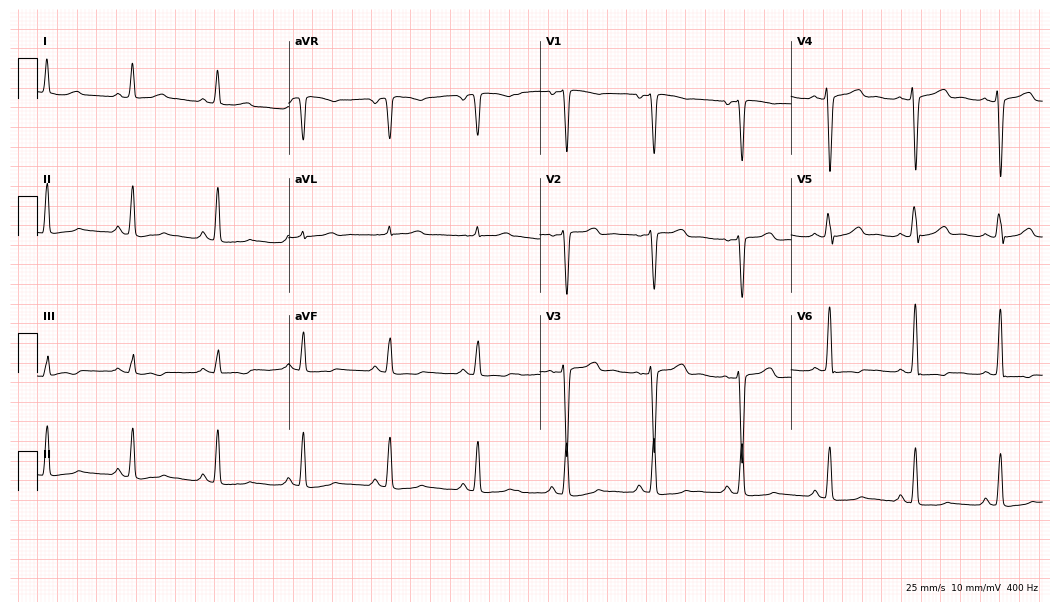
ECG — a female, 40 years old. Screened for six findings — first-degree AV block, right bundle branch block (RBBB), left bundle branch block (LBBB), sinus bradycardia, atrial fibrillation (AF), sinus tachycardia — none is recorded.